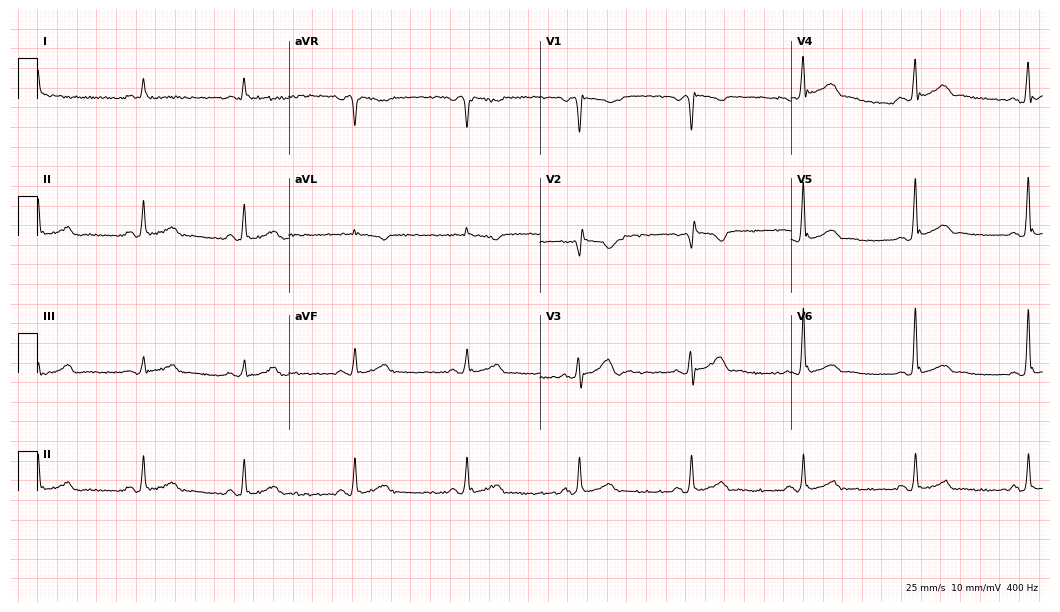
Resting 12-lead electrocardiogram (10.2-second recording at 400 Hz). Patient: a 49-year-old male. None of these six findings is recorded: first-degree AV block, right bundle branch block, left bundle branch block, sinus bradycardia, atrial fibrillation, sinus tachycardia.